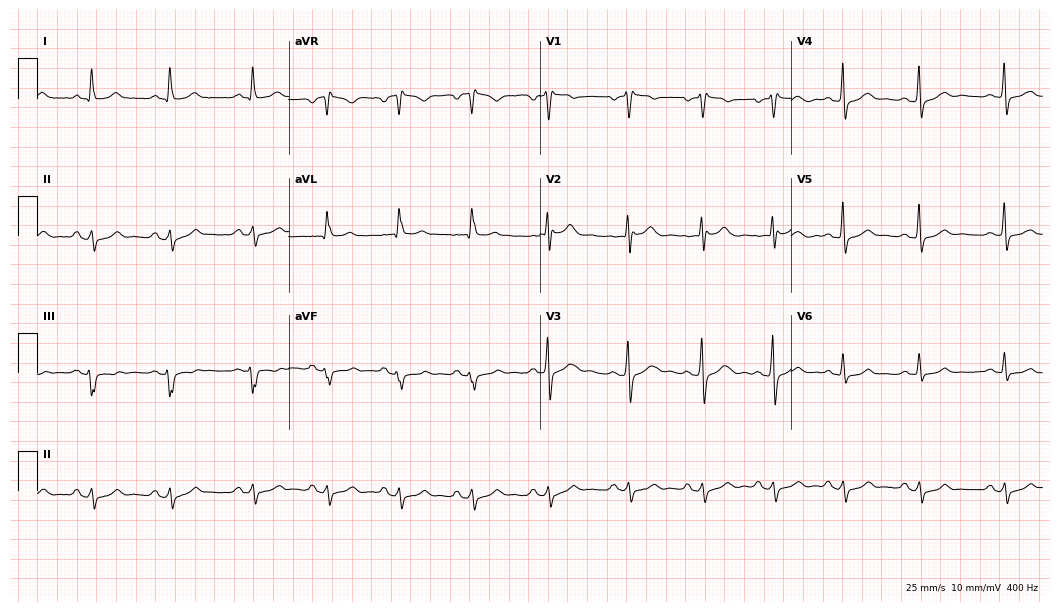
12-lead ECG from a man, 46 years old. Screened for six findings — first-degree AV block, right bundle branch block (RBBB), left bundle branch block (LBBB), sinus bradycardia, atrial fibrillation (AF), sinus tachycardia — none is recorded.